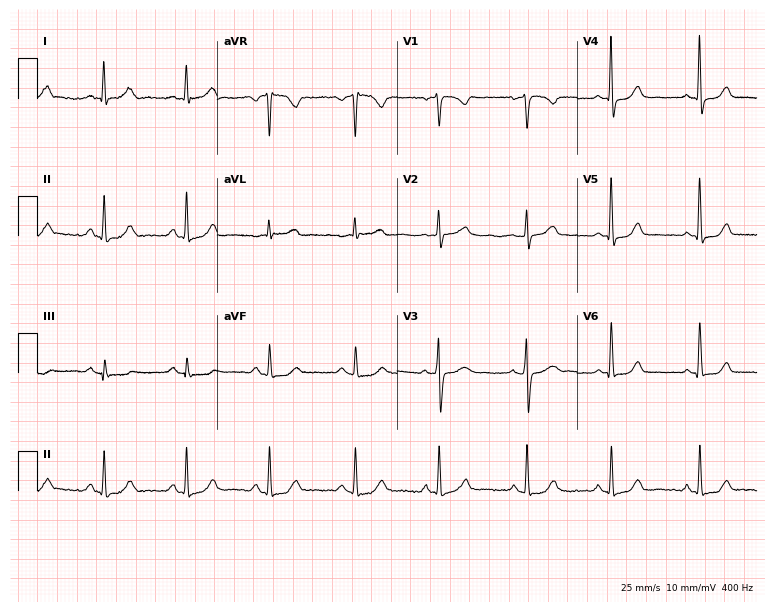
Standard 12-lead ECG recorded from a 42-year-old woman. None of these six findings is recorded: first-degree AV block, right bundle branch block, left bundle branch block, sinus bradycardia, atrial fibrillation, sinus tachycardia. Other findings, if any, are not listed.